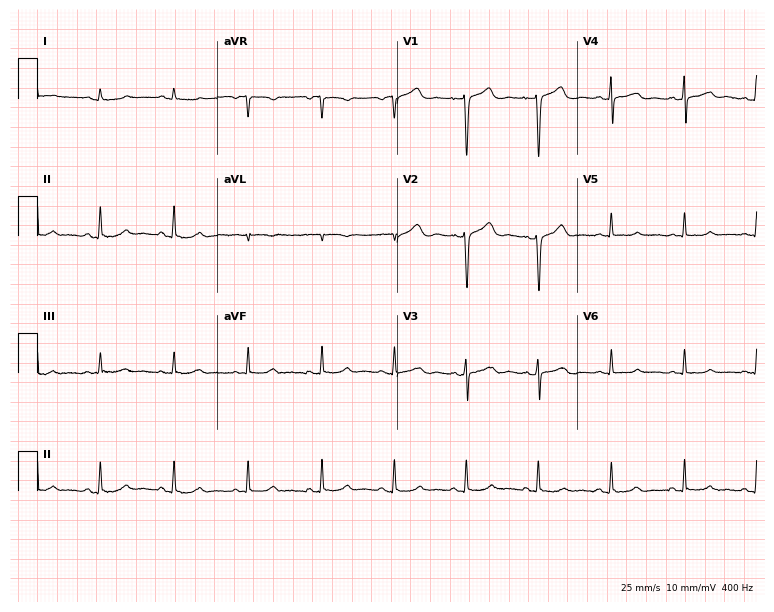
ECG (7.3-second recording at 400 Hz) — a woman, 47 years old. Labelled as a normal ECG.